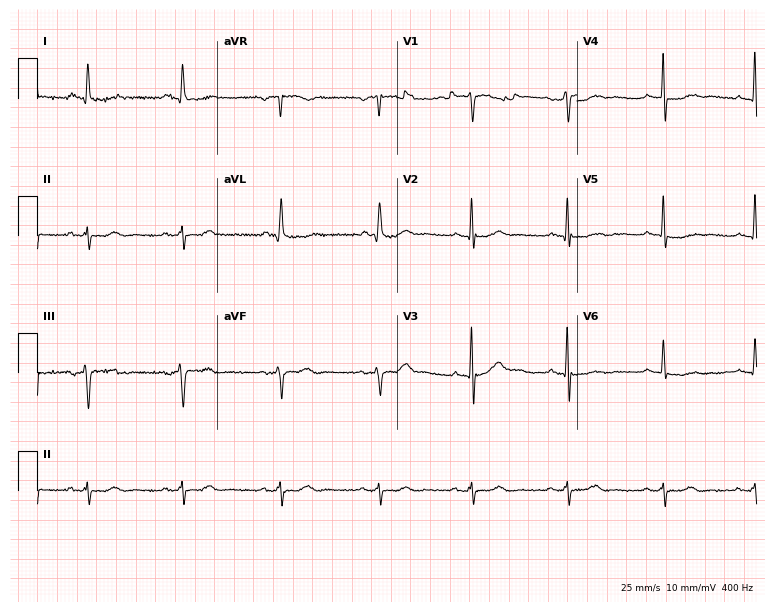
Resting 12-lead electrocardiogram (7.3-second recording at 400 Hz). Patient: a 71-year-old male. None of these six findings is recorded: first-degree AV block, right bundle branch block, left bundle branch block, sinus bradycardia, atrial fibrillation, sinus tachycardia. Other findings, if any, are not listed.